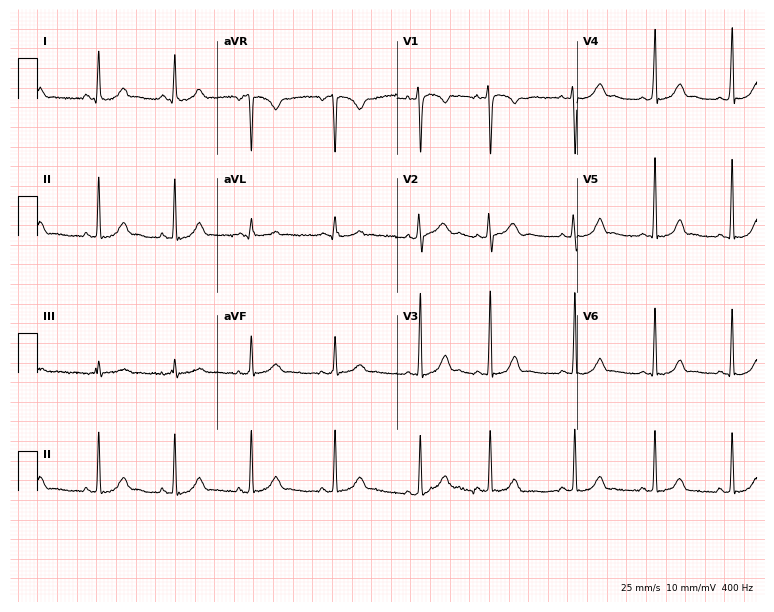
12-lead ECG from a 23-year-old female patient (7.3-second recording at 400 Hz). Recorded interpretation: within normal limits.